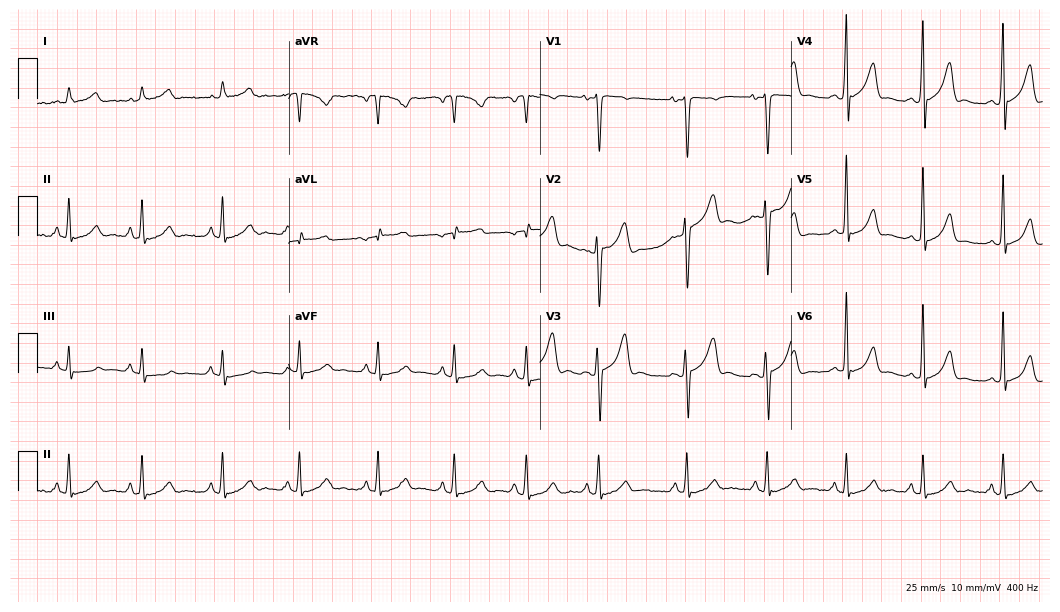
Electrocardiogram (10.2-second recording at 400 Hz), an 18-year-old male. Of the six screened findings (first-degree AV block, right bundle branch block (RBBB), left bundle branch block (LBBB), sinus bradycardia, atrial fibrillation (AF), sinus tachycardia), none is recorded. Only these six findings were labelled.